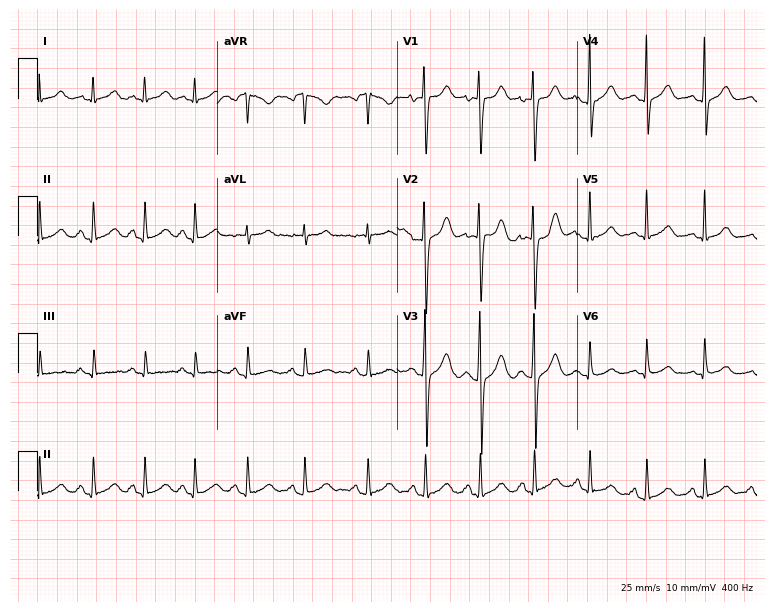
ECG — an 18-year-old female. Findings include sinus tachycardia (a sinus rate of 100 beats per minute or more).